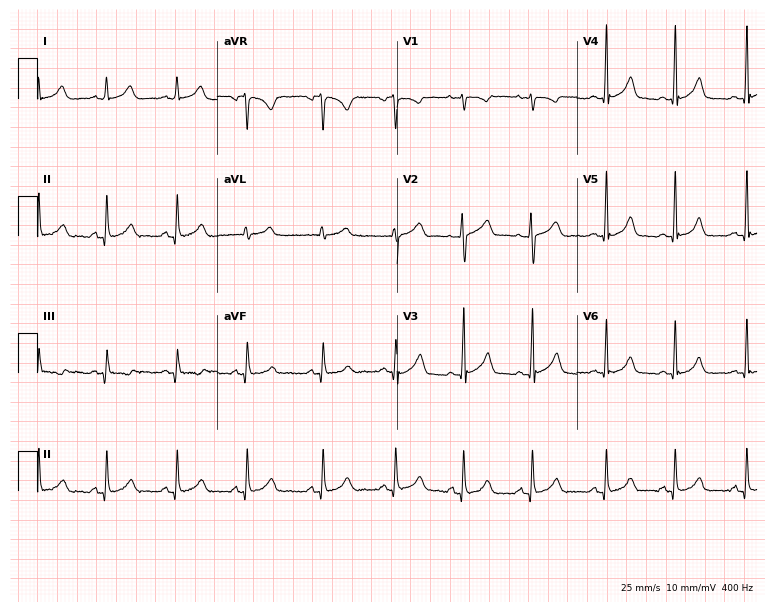
Resting 12-lead electrocardiogram (7.3-second recording at 400 Hz). Patient: a 29-year-old female. None of these six findings is recorded: first-degree AV block, right bundle branch block (RBBB), left bundle branch block (LBBB), sinus bradycardia, atrial fibrillation (AF), sinus tachycardia.